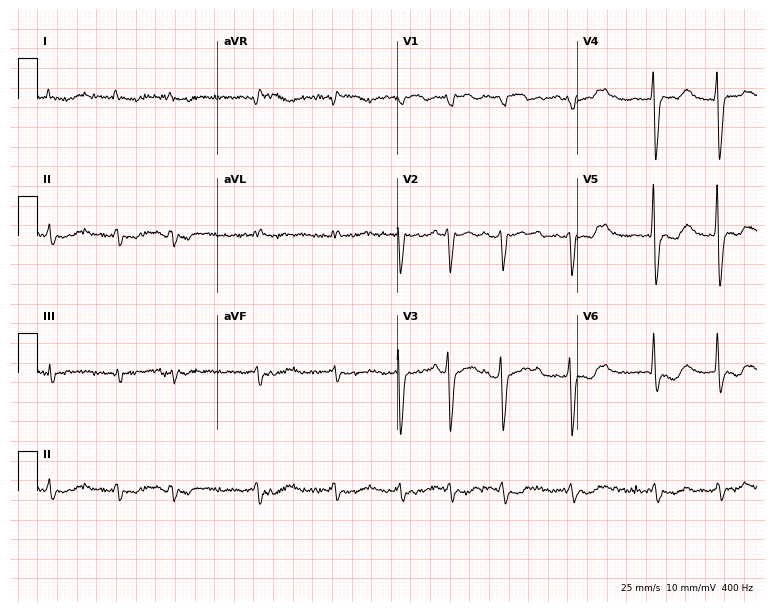
12-lead ECG from an 86-year-old man. Shows atrial fibrillation.